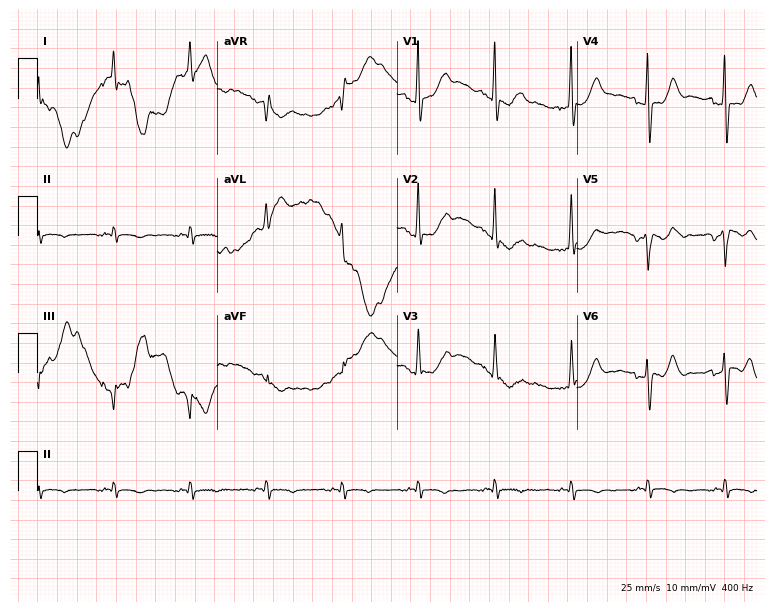
Standard 12-lead ECG recorded from a 56-year-old male patient (7.3-second recording at 400 Hz). None of these six findings is recorded: first-degree AV block, right bundle branch block (RBBB), left bundle branch block (LBBB), sinus bradycardia, atrial fibrillation (AF), sinus tachycardia. Only these six findings were labelled.